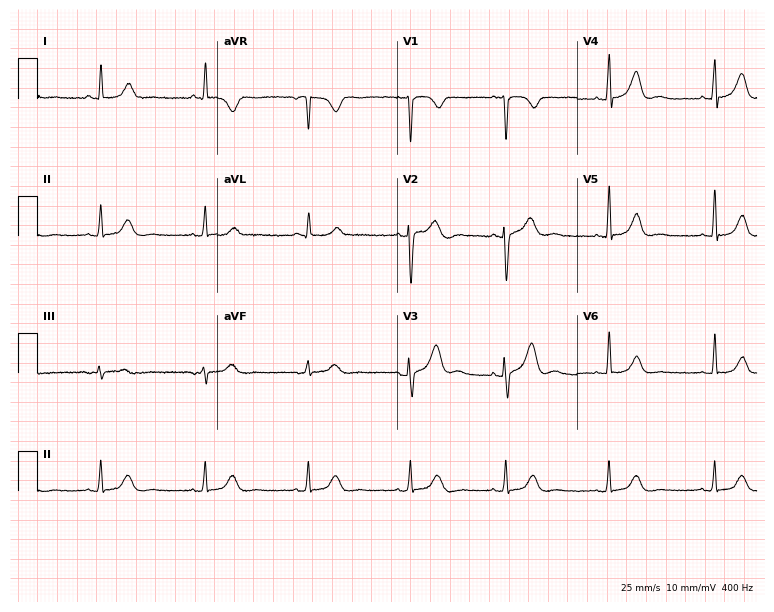
Electrocardiogram (7.3-second recording at 400 Hz), a 51-year-old female. Overall reading on record: normal ECG.